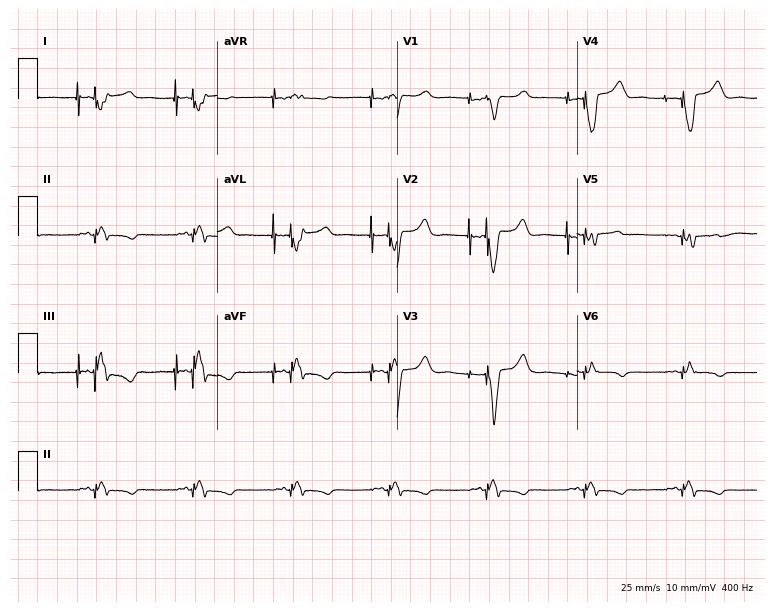
12-lead ECG (7.3-second recording at 400 Hz) from a 43-year-old woman. Screened for six findings — first-degree AV block, right bundle branch block, left bundle branch block, sinus bradycardia, atrial fibrillation, sinus tachycardia — none is recorded. Only these six findings were labelled.